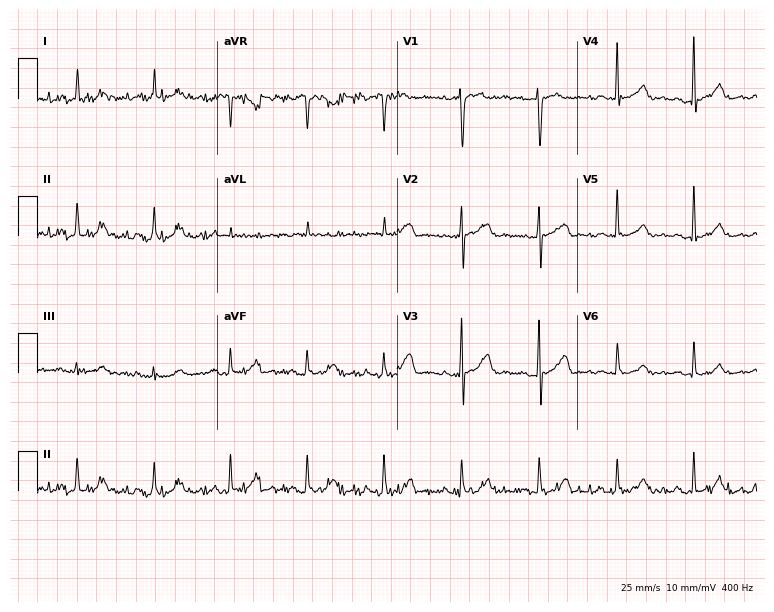
12-lead ECG from a 71-year-old woman. Screened for six findings — first-degree AV block, right bundle branch block (RBBB), left bundle branch block (LBBB), sinus bradycardia, atrial fibrillation (AF), sinus tachycardia — none is recorded.